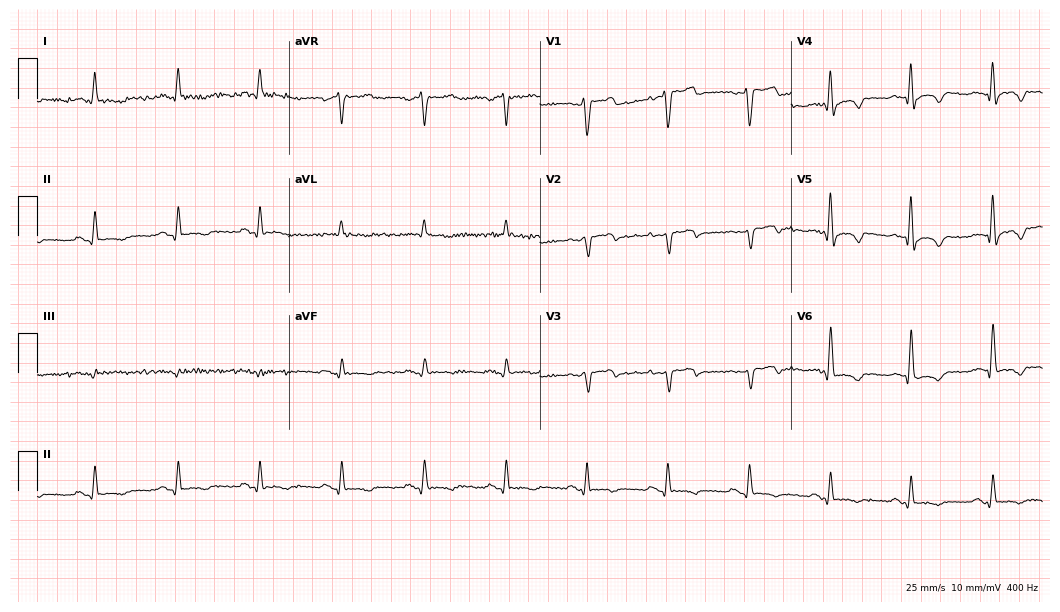
12-lead ECG from a 58-year-old male patient. Screened for six findings — first-degree AV block, right bundle branch block (RBBB), left bundle branch block (LBBB), sinus bradycardia, atrial fibrillation (AF), sinus tachycardia — none is recorded. Findings outside these six are not listed.